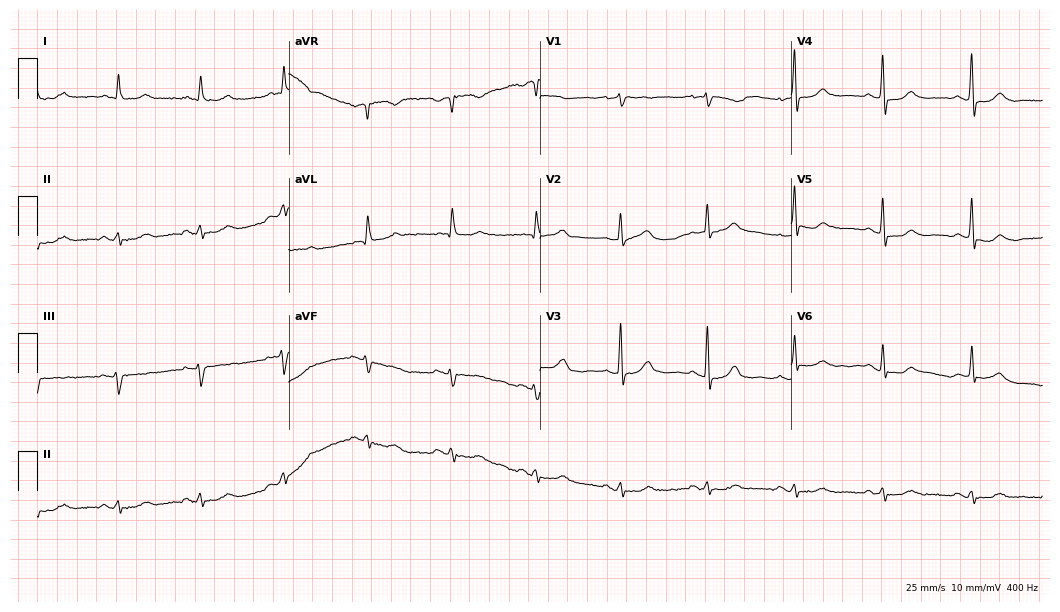
12-lead ECG (10.2-second recording at 400 Hz) from a female patient, 78 years old. Labelled as a normal ECG.